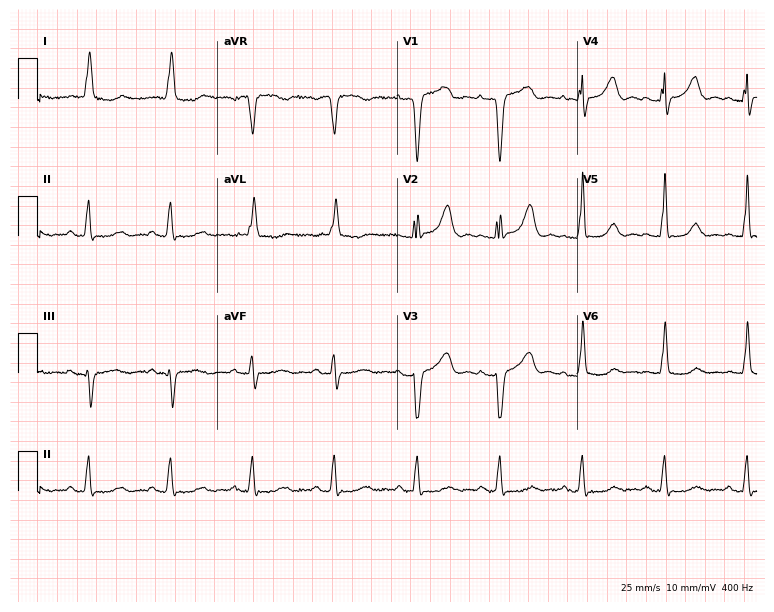
ECG (7.3-second recording at 400 Hz) — a female, 84 years old. Labelled as a normal ECG.